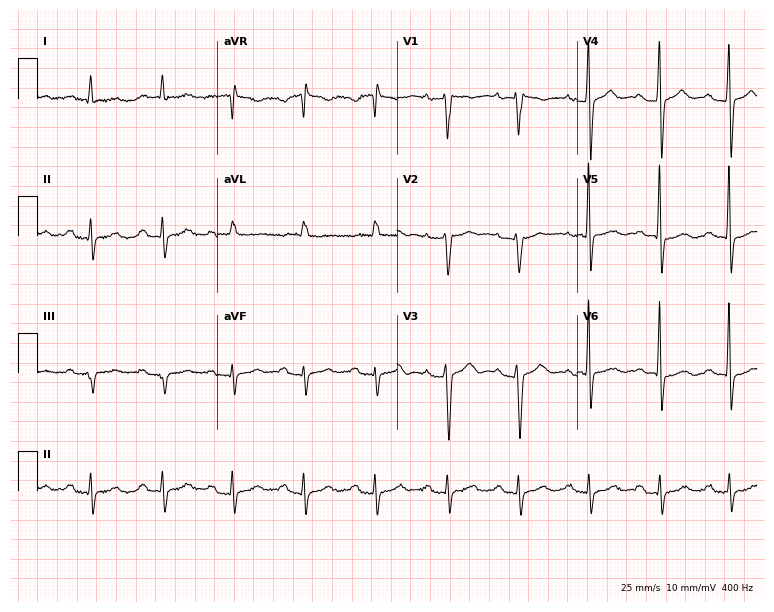
12-lead ECG from a male, 79 years old. Shows first-degree AV block.